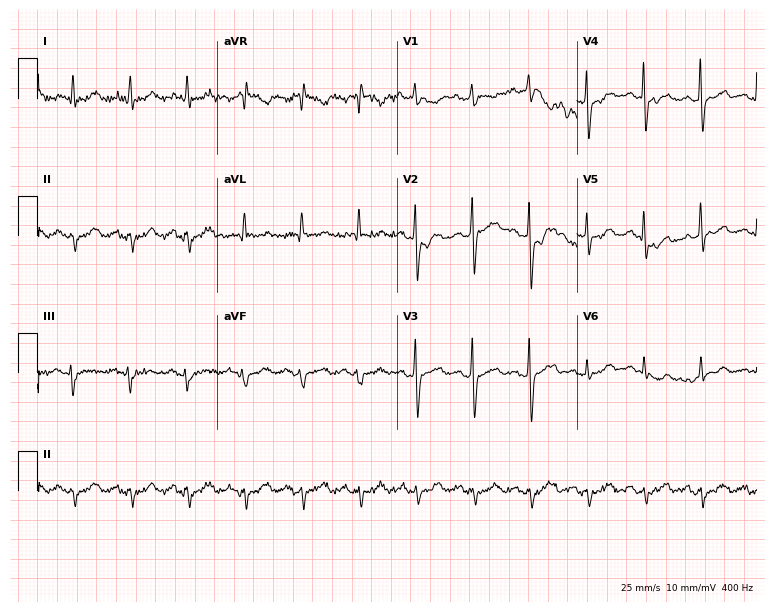
12-lead ECG (7.3-second recording at 400 Hz) from a 76-year-old male. Screened for six findings — first-degree AV block, right bundle branch block, left bundle branch block, sinus bradycardia, atrial fibrillation, sinus tachycardia — none is recorded. Other findings, if any, are not listed.